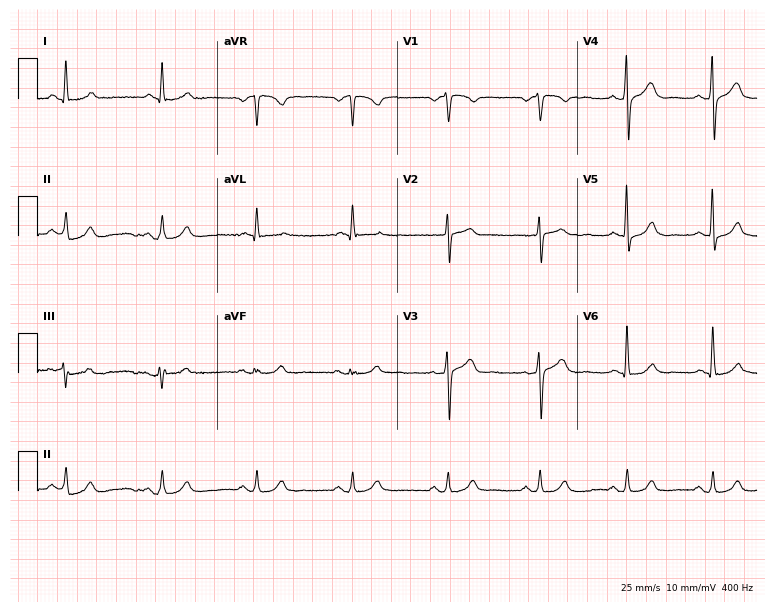
12-lead ECG from a male patient, 68 years old. No first-degree AV block, right bundle branch block (RBBB), left bundle branch block (LBBB), sinus bradycardia, atrial fibrillation (AF) or sinus tachycardia recorded for this tracing. Only these six findings were labelled.